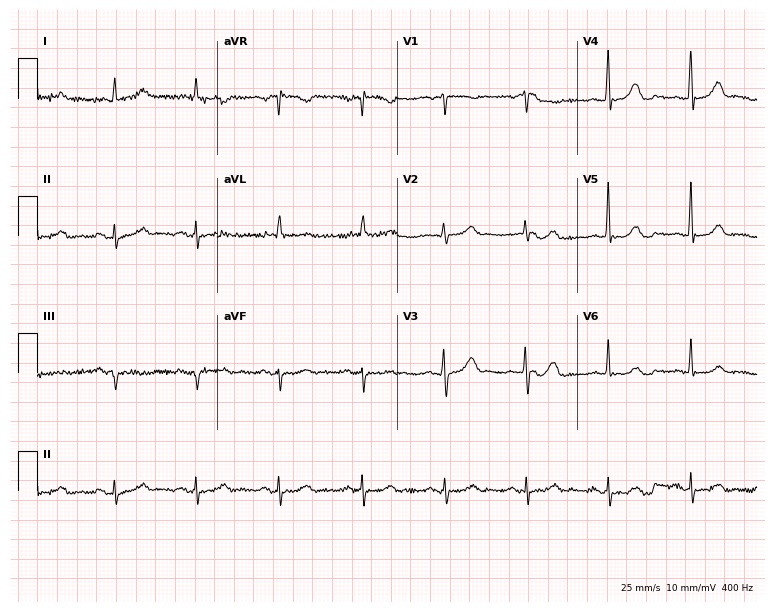
12-lead ECG from a man, 75 years old. Labelled as a normal ECG.